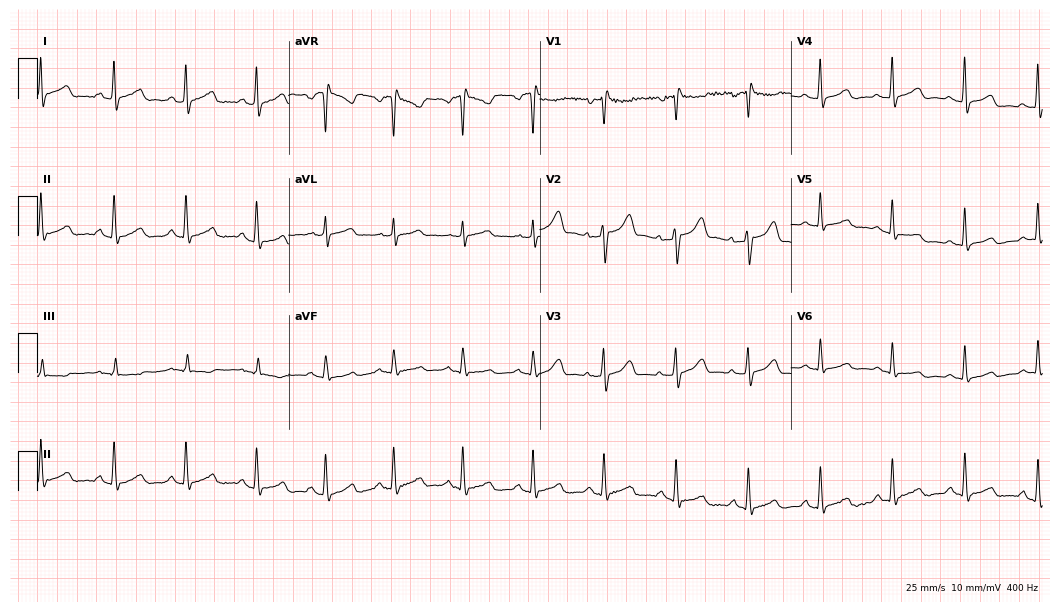
Electrocardiogram (10.2-second recording at 400 Hz), a 54-year-old woman. Overall reading on record: normal ECG.